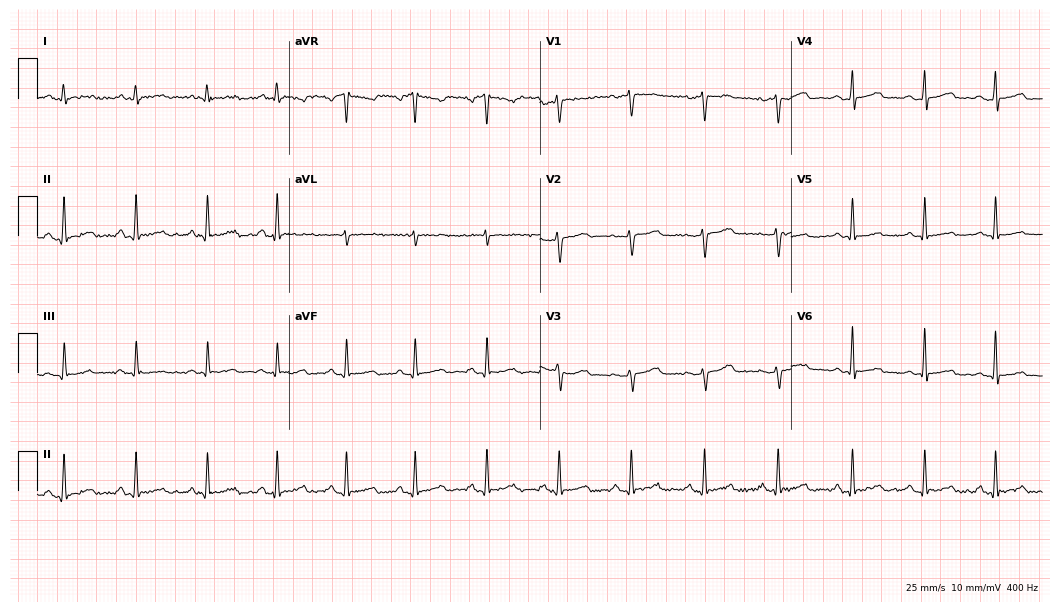
12-lead ECG (10.2-second recording at 400 Hz) from a female, 32 years old. Labelled as a normal ECG.